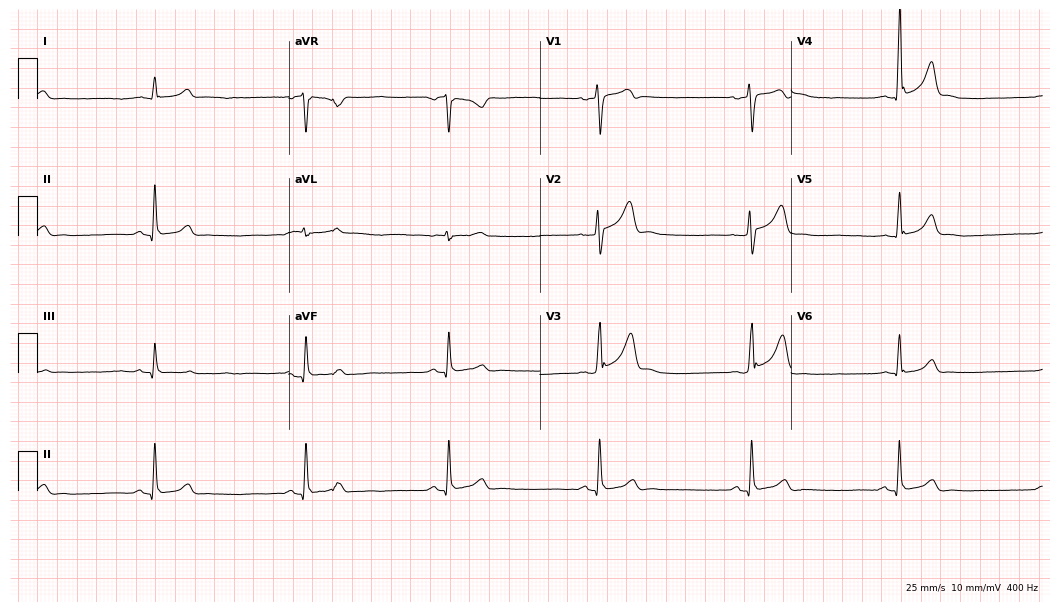
Standard 12-lead ECG recorded from a male patient, 30 years old. The tracing shows sinus bradycardia (a sinus rate of 50 beats per minute or less).